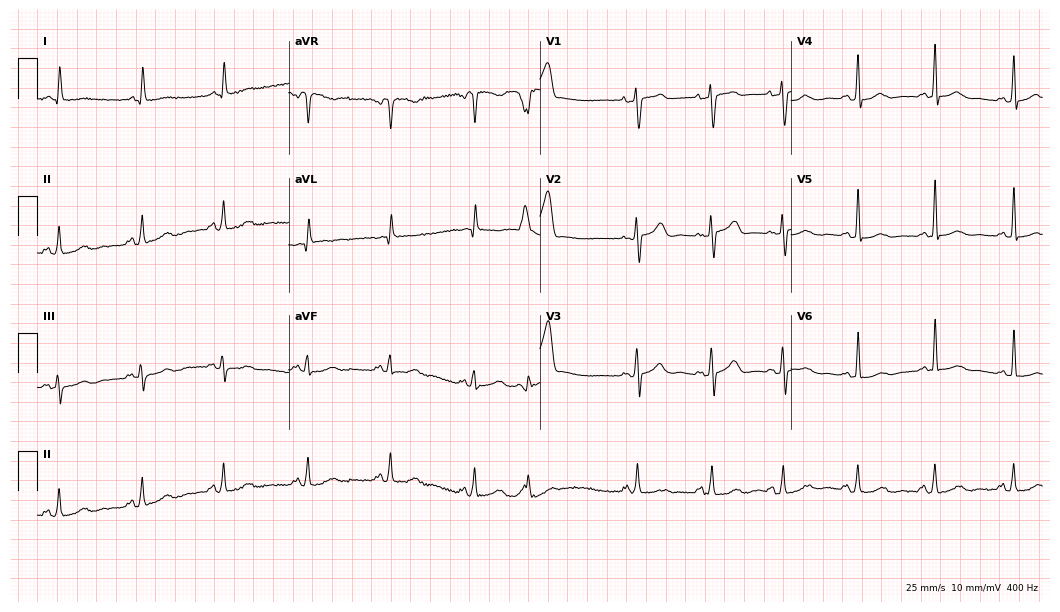
ECG (10.2-second recording at 400 Hz) — a female, 63 years old. Labelled as a normal ECG.